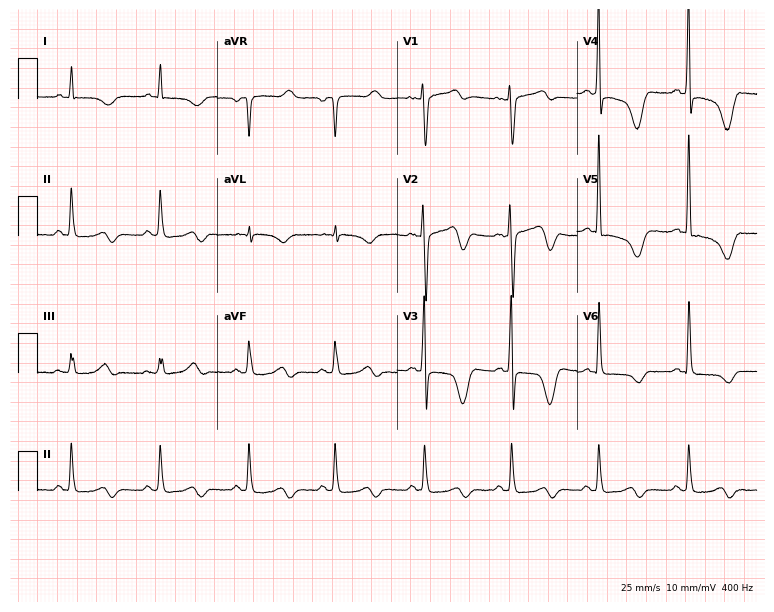
12-lead ECG from a 61-year-old woman. Screened for six findings — first-degree AV block, right bundle branch block, left bundle branch block, sinus bradycardia, atrial fibrillation, sinus tachycardia — none is recorded.